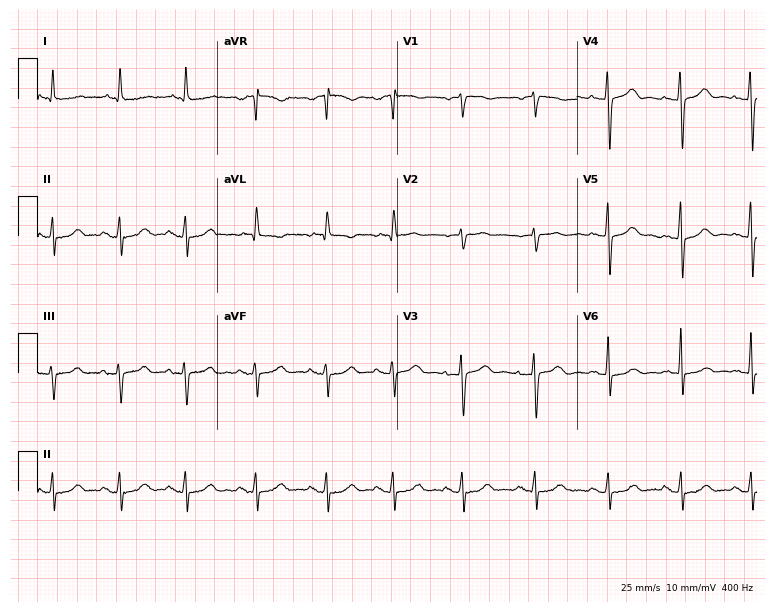
12-lead ECG from a 76-year-old female patient. Screened for six findings — first-degree AV block, right bundle branch block (RBBB), left bundle branch block (LBBB), sinus bradycardia, atrial fibrillation (AF), sinus tachycardia — none is recorded.